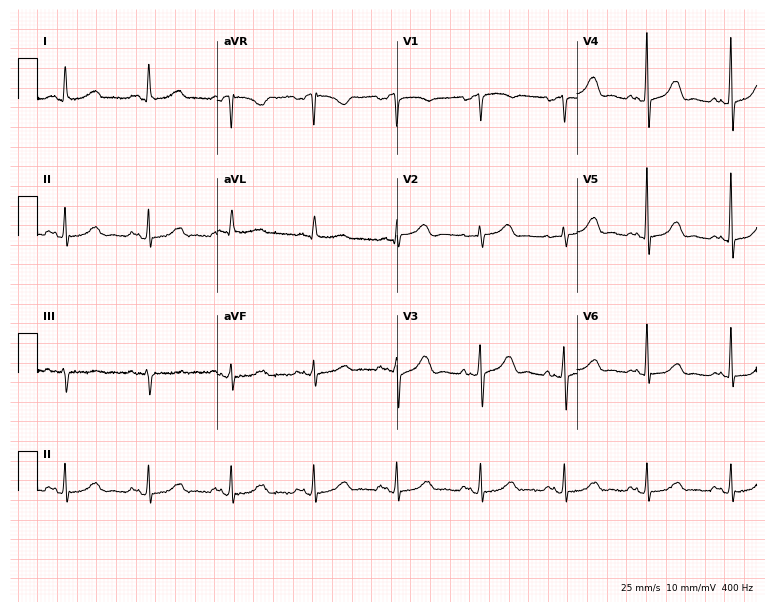
Resting 12-lead electrocardiogram (7.3-second recording at 400 Hz). Patient: a 79-year-old female. Read as a normal ECG.